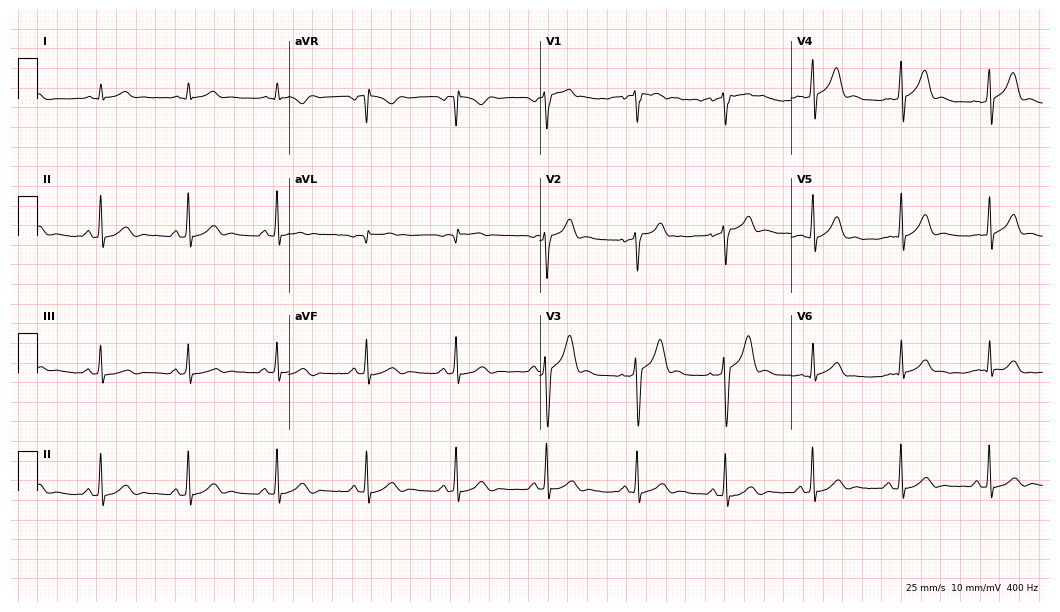
12-lead ECG (10.2-second recording at 400 Hz) from a 49-year-old man. Labelled as a normal ECG.